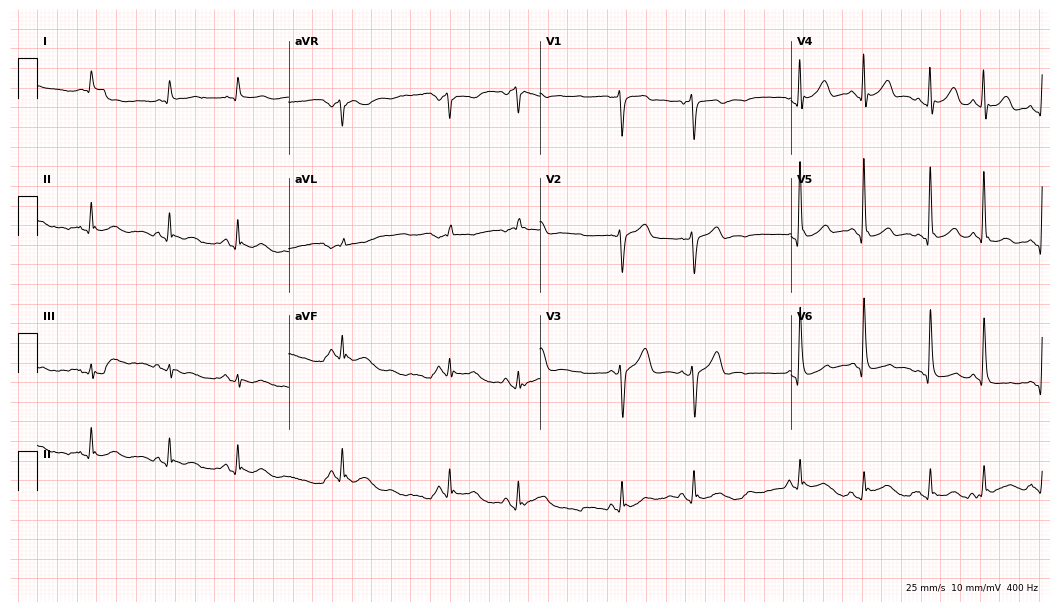
Resting 12-lead electrocardiogram. Patient: a 72-year-old man. None of these six findings is recorded: first-degree AV block, right bundle branch block, left bundle branch block, sinus bradycardia, atrial fibrillation, sinus tachycardia. Only these six findings were labelled.